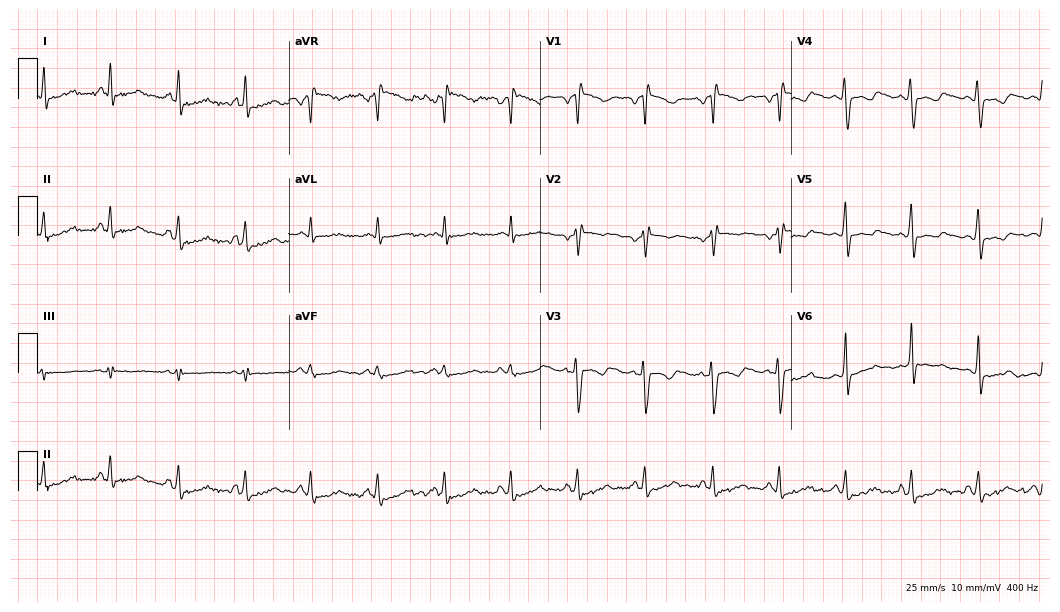
12-lead ECG from a female, 33 years old (10.2-second recording at 400 Hz). Recorded interpretation: within normal limits.